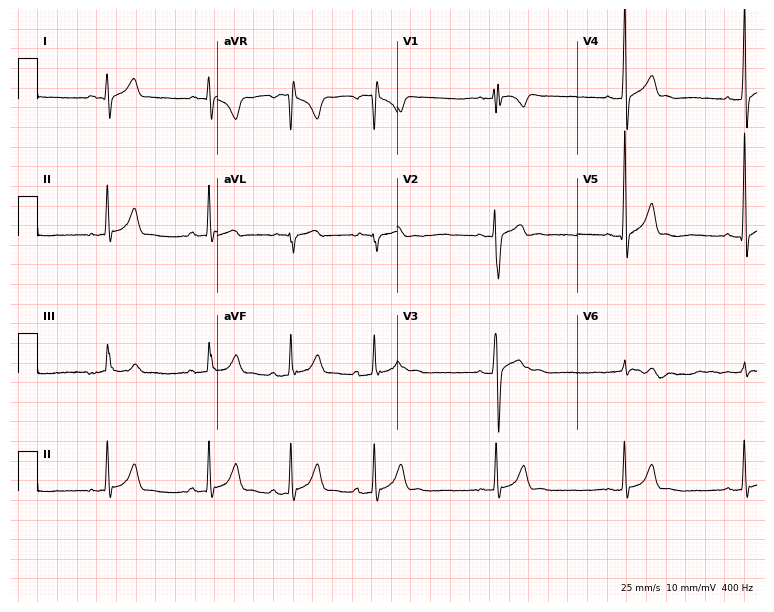
12-lead ECG from a male patient, 17 years old. Labelled as a normal ECG.